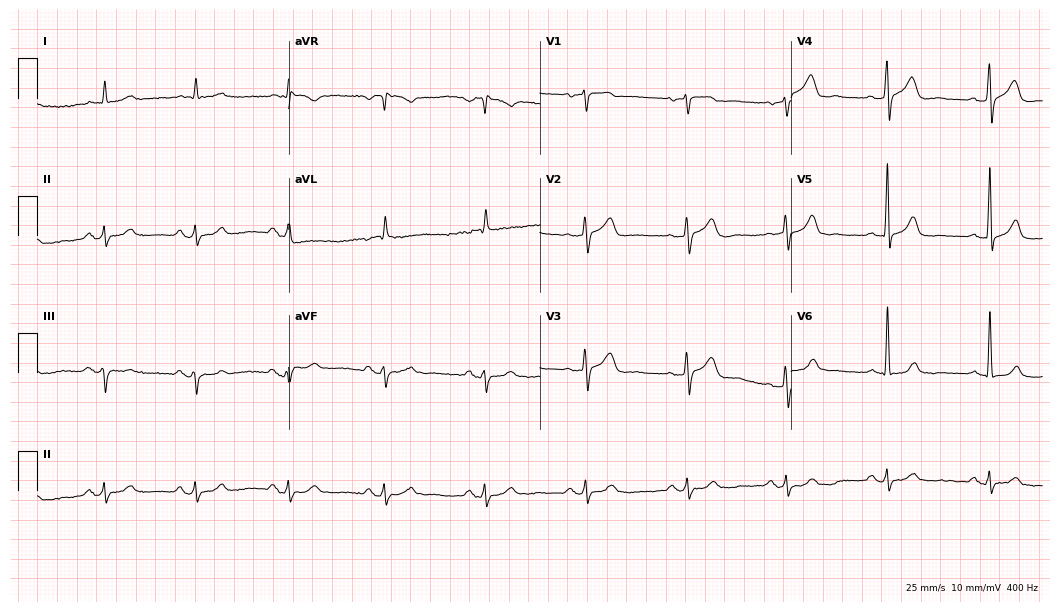
ECG — a man, 69 years old. Screened for six findings — first-degree AV block, right bundle branch block (RBBB), left bundle branch block (LBBB), sinus bradycardia, atrial fibrillation (AF), sinus tachycardia — none is recorded.